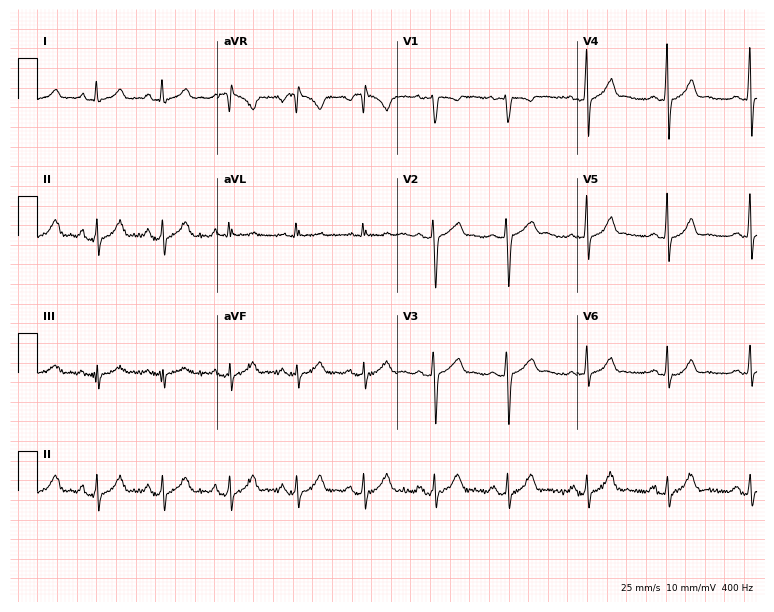
12-lead ECG from a 25-year-old female. Screened for six findings — first-degree AV block, right bundle branch block, left bundle branch block, sinus bradycardia, atrial fibrillation, sinus tachycardia — none is recorded.